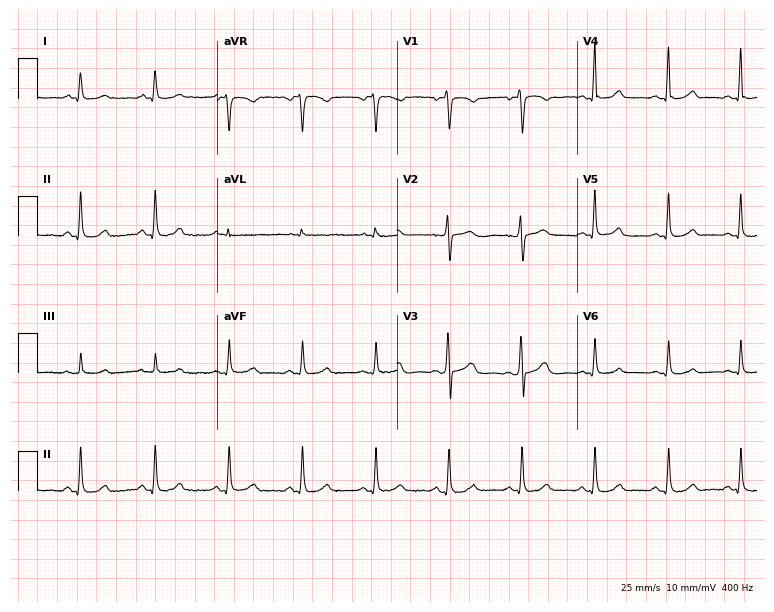
12-lead ECG from a woman, 55 years old. Screened for six findings — first-degree AV block, right bundle branch block (RBBB), left bundle branch block (LBBB), sinus bradycardia, atrial fibrillation (AF), sinus tachycardia — none is recorded. Only these six findings were labelled.